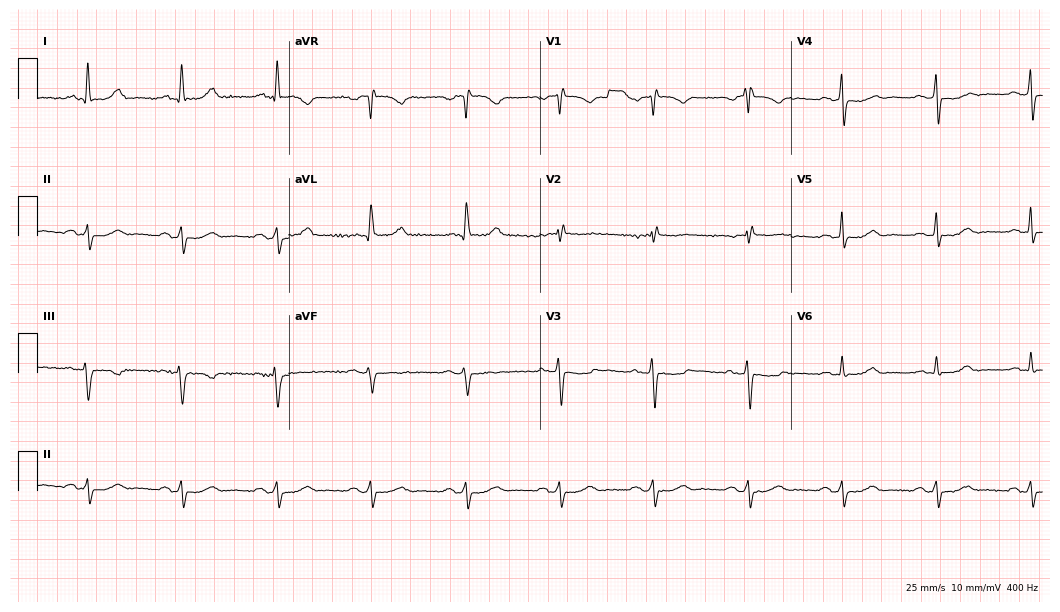
12-lead ECG from a female patient, 68 years old. Screened for six findings — first-degree AV block, right bundle branch block (RBBB), left bundle branch block (LBBB), sinus bradycardia, atrial fibrillation (AF), sinus tachycardia — none is recorded.